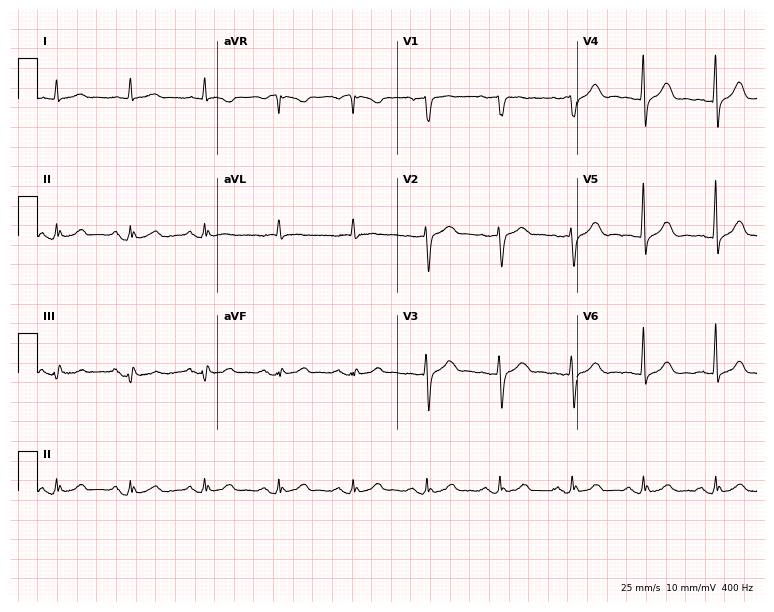
Electrocardiogram, an 89-year-old male patient. Overall reading on record: normal ECG.